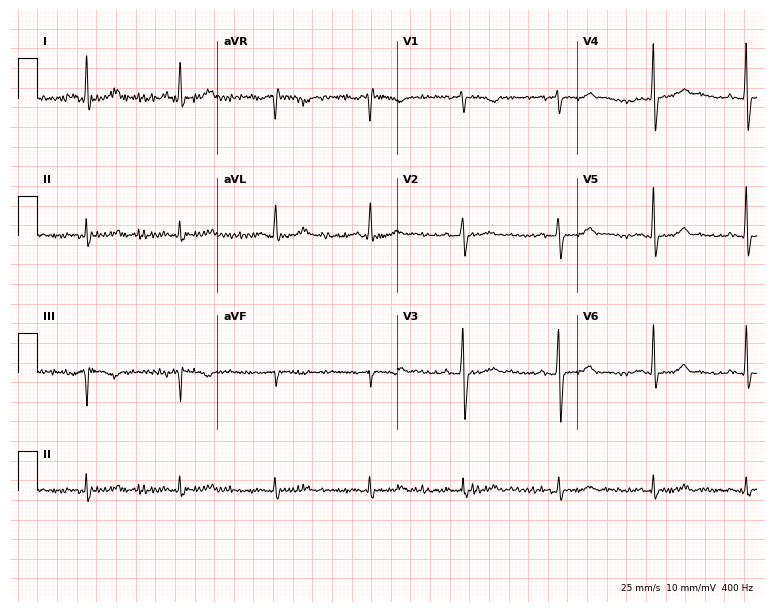
Electrocardiogram, a 59-year-old woman. Of the six screened findings (first-degree AV block, right bundle branch block (RBBB), left bundle branch block (LBBB), sinus bradycardia, atrial fibrillation (AF), sinus tachycardia), none is recorded.